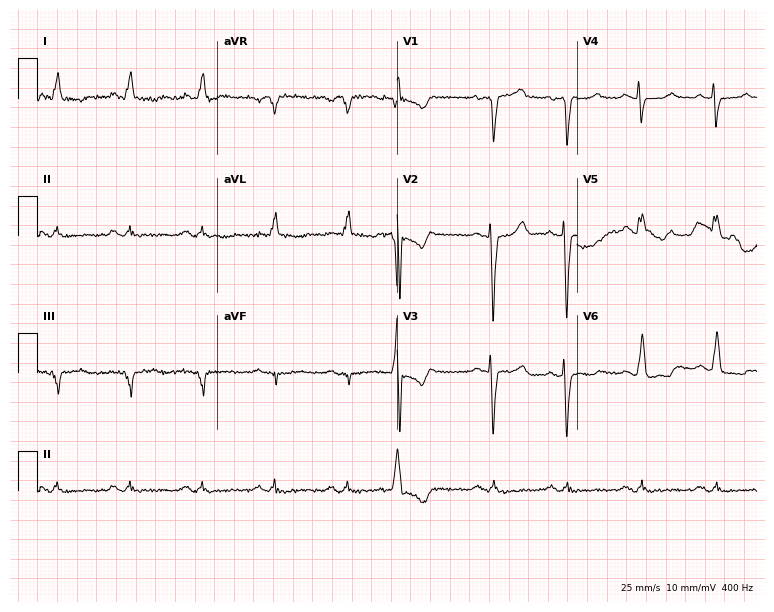
Resting 12-lead electrocardiogram. Patient: a 76-year-old male. None of these six findings is recorded: first-degree AV block, right bundle branch block, left bundle branch block, sinus bradycardia, atrial fibrillation, sinus tachycardia. Findings outside these six are not listed.